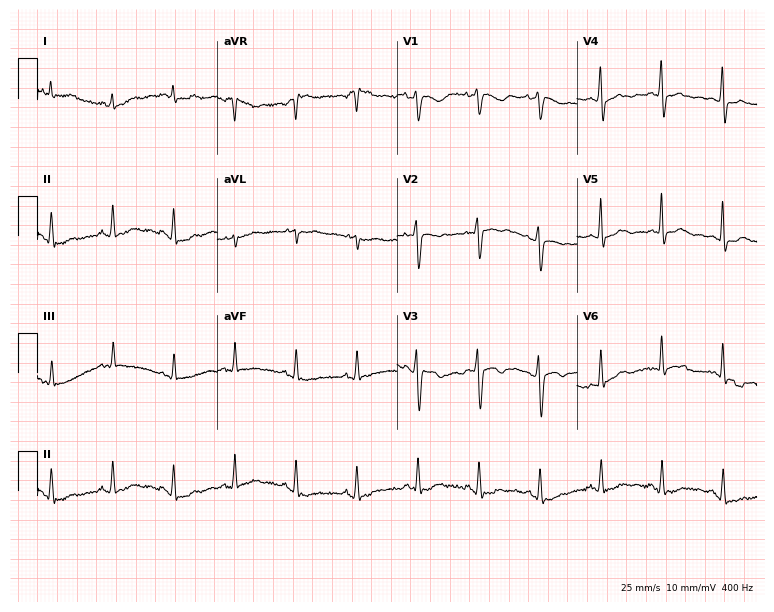
12-lead ECG from a 43-year-old female. No first-degree AV block, right bundle branch block, left bundle branch block, sinus bradycardia, atrial fibrillation or sinus tachycardia recorded for this tracing. Findings outside these six are not listed.